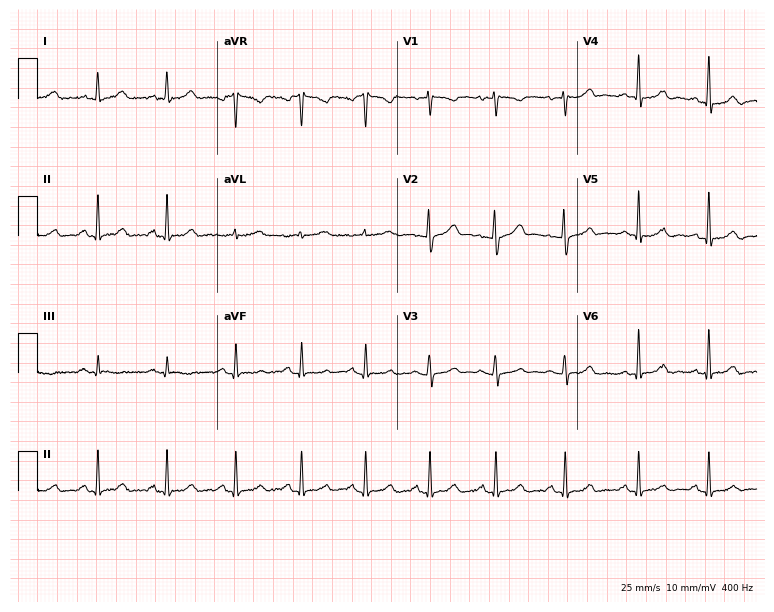
12-lead ECG from a female, 47 years old (7.3-second recording at 400 Hz). Recorded interpretation: within normal limits.